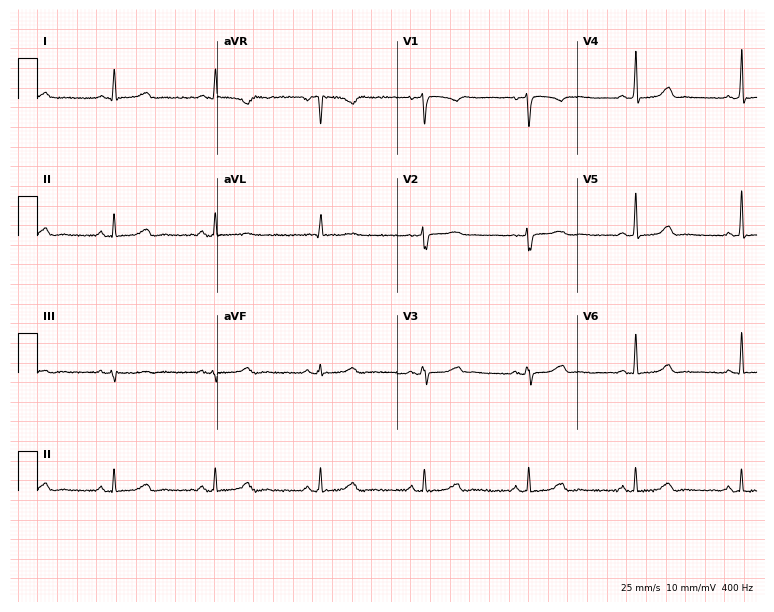
12-lead ECG from a woman, 52 years old. Labelled as a normal ECG.